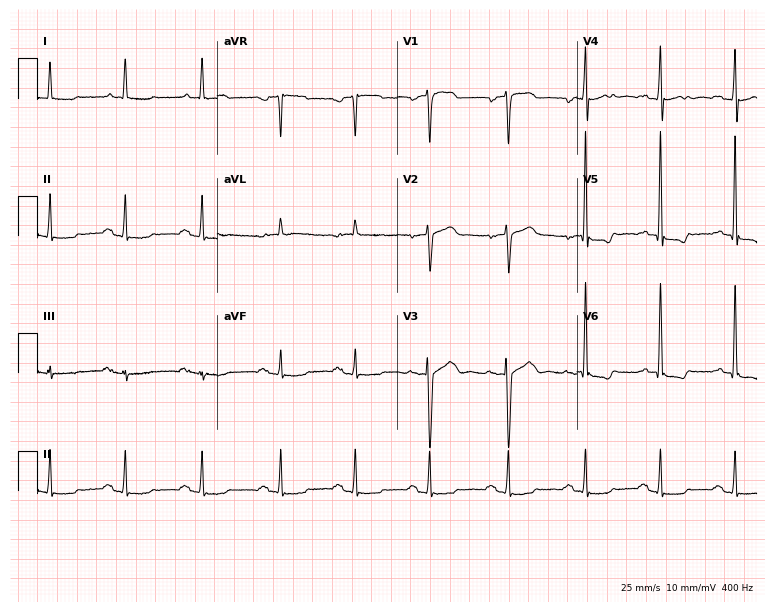
Electrocardiogram (7.3-second recording at 400 Hz), a male patient, 72 years old. Of the six screened findings (first-degree AV block, right bundle branch block, left bundle branch block, sinus bradycardia, atrial fibrillation, sinus tachycardia), none is recorded.